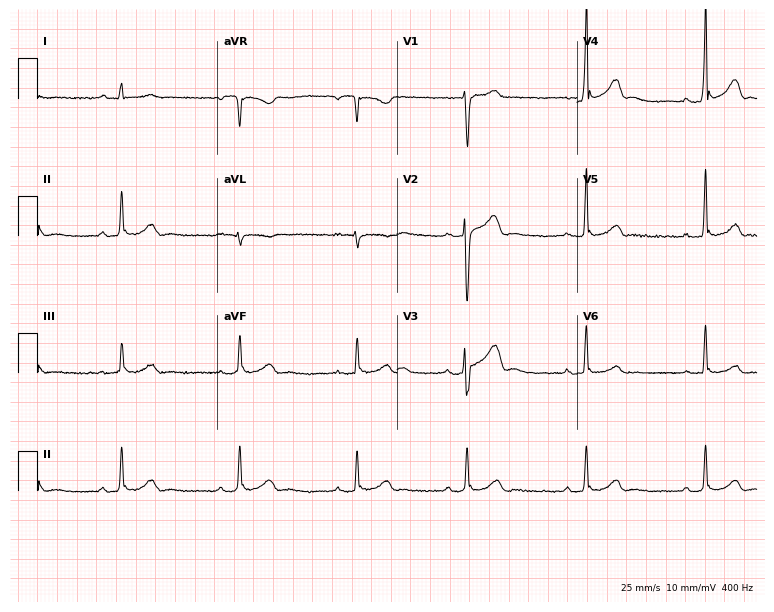
Standard 12-lead ECG recorded from a 30-year-old man (7.3-second recording at 400 Hz). Read as a normal ECG.